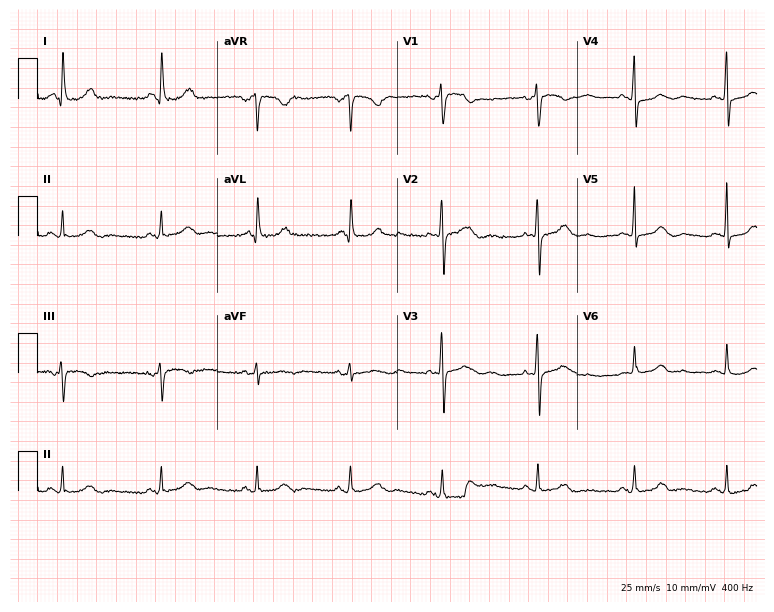
12-lead ECG from a woman, 62 years old. Recorded interpretation: within normal limits.